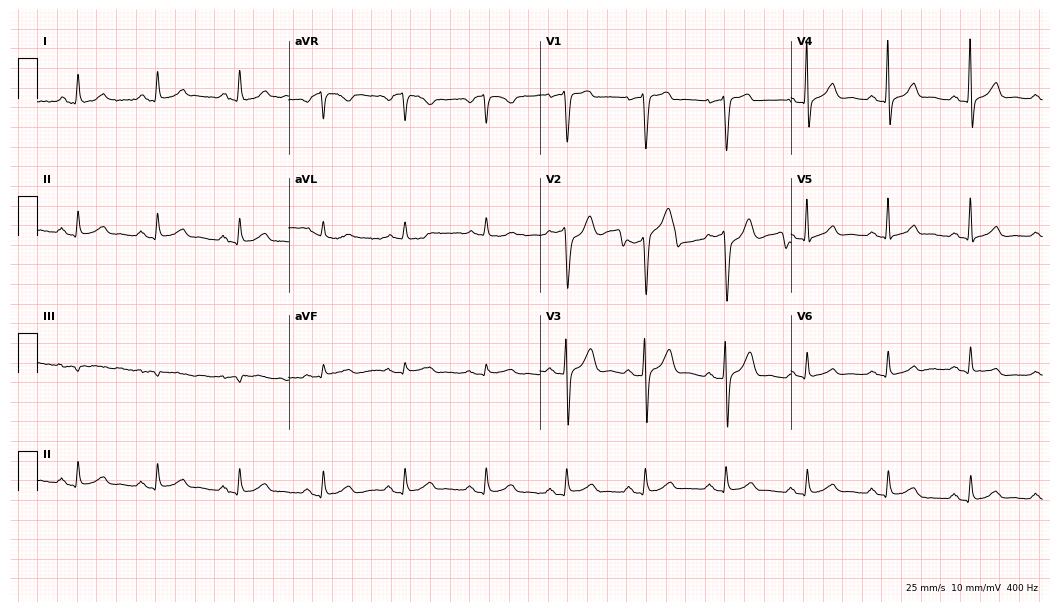
Resting 12-lead electrocardiogram. Patient: a 38-year-old man. None of these six findings is recorded: first-degree AV block, right bundle branch block, left bundle branch block, sinus bradycardia, atrial fibrillation, sinus tachycardia.